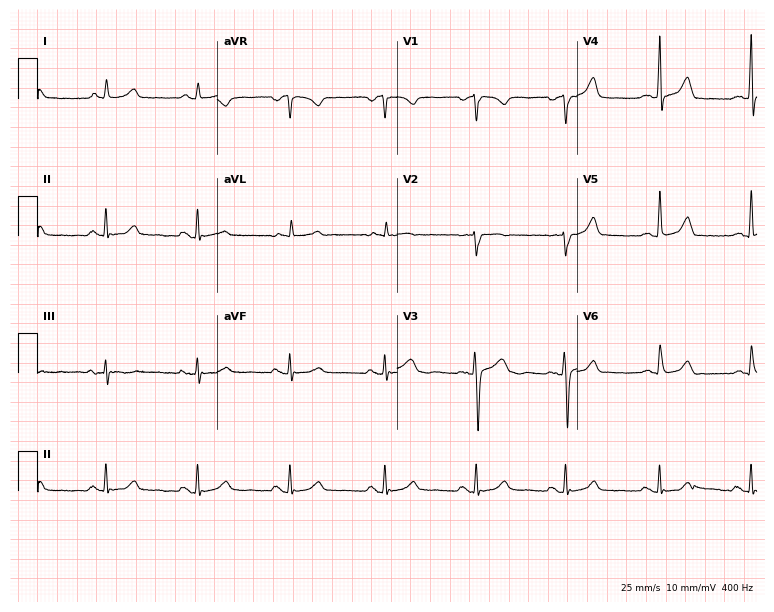
Resting 12-lead electrocardiogram. Patient: a 53-year-old woman. Read as a normal ECG.